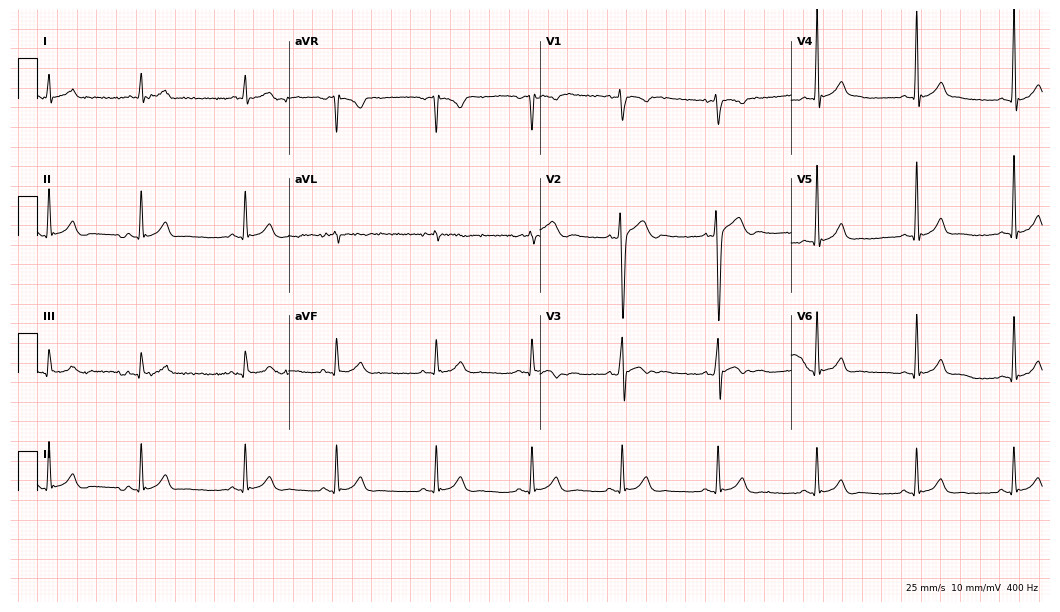
ECG (10.2-second recording at 400 Hz) — a male, 17 years old. Labelled as a normal ECG.